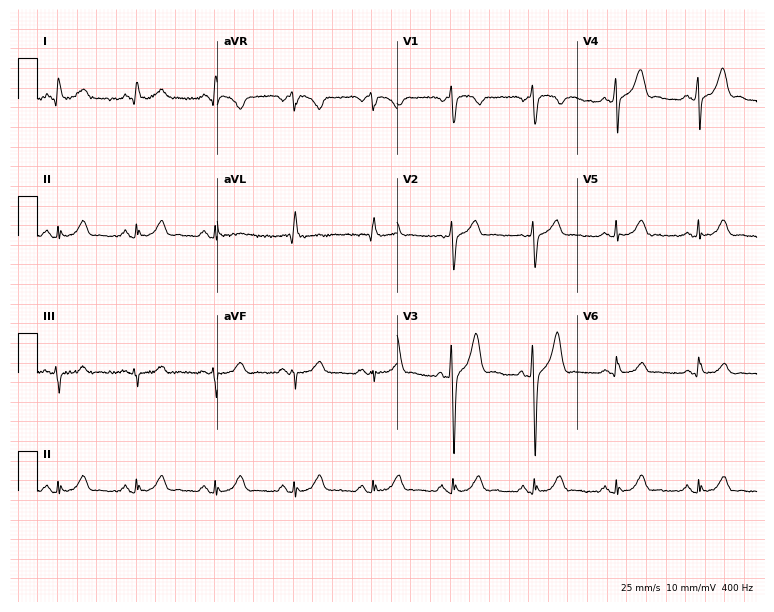
Resting 12-lead electrocardiogram. Patient: a 63-year-old man. Read as a normal ECG.